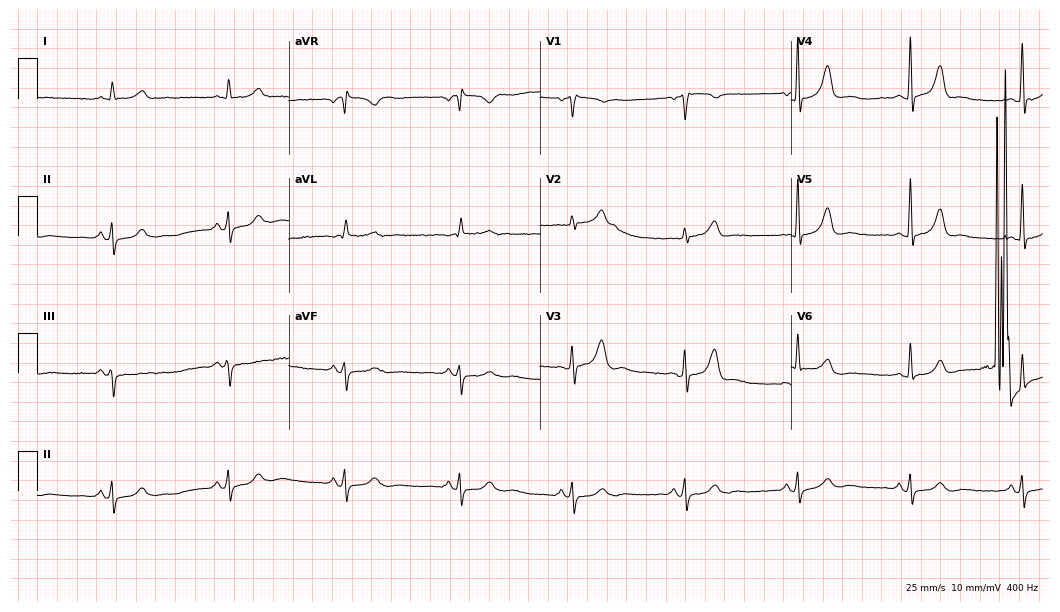
12-lead ECG from a man, 79 years old. Recorded interpretation: within normal limits.